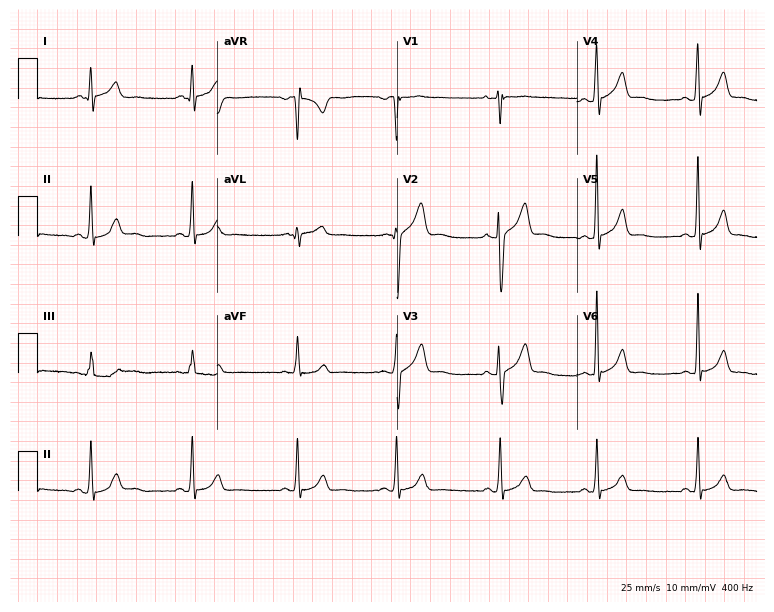
Resting 12-lead electrocardiogram (7.3-second recording at 400 Hz). Patient: a 30-year-old male. None of these six findings is recorded: first-degree AV block, right bundle branch block (RBBB), left bundle branch block (LBBB), sinus bradycardia, atrial fibrillation (AF), sinus tachycardia. Only these six findings were labelled.